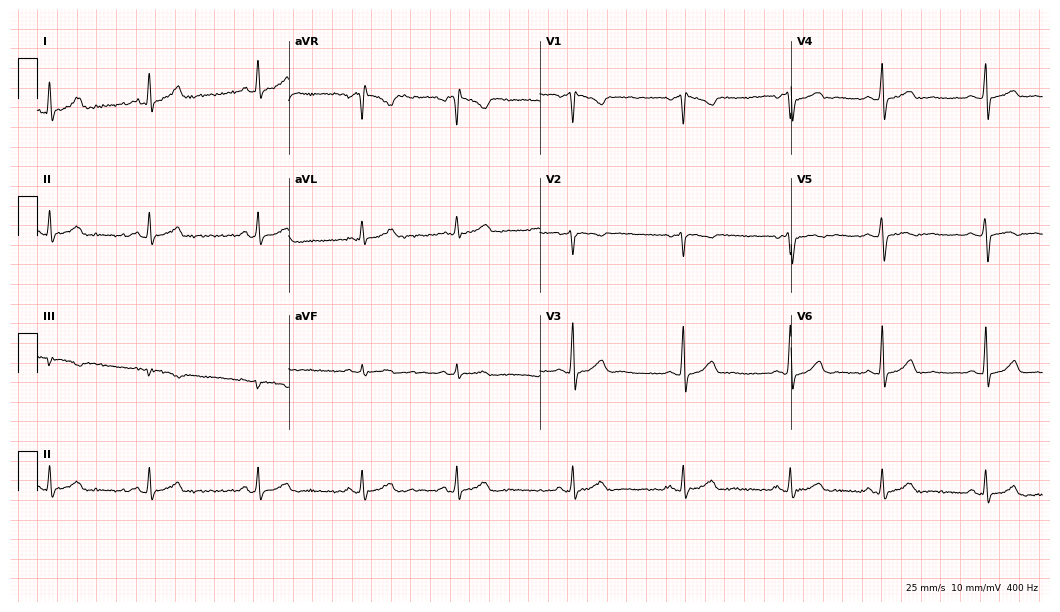
12-lead ECG from a female, 28 years old. Screened for six findings — first-degree AV block, right bundle branch block, left bundle branch block, sinus bradycardia, atrial fibrillation, sinus tachycardia — none is recorded. Only these six findings were labelled.